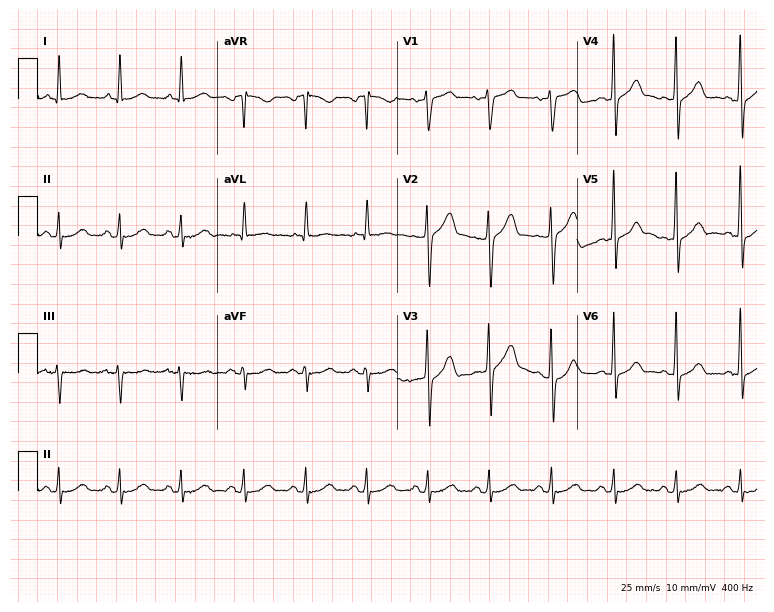
Standard 12-lead ECG recorded from a male patient, 58 years old (7.3-second recording at 400 Hz). Read as a normal ECG.